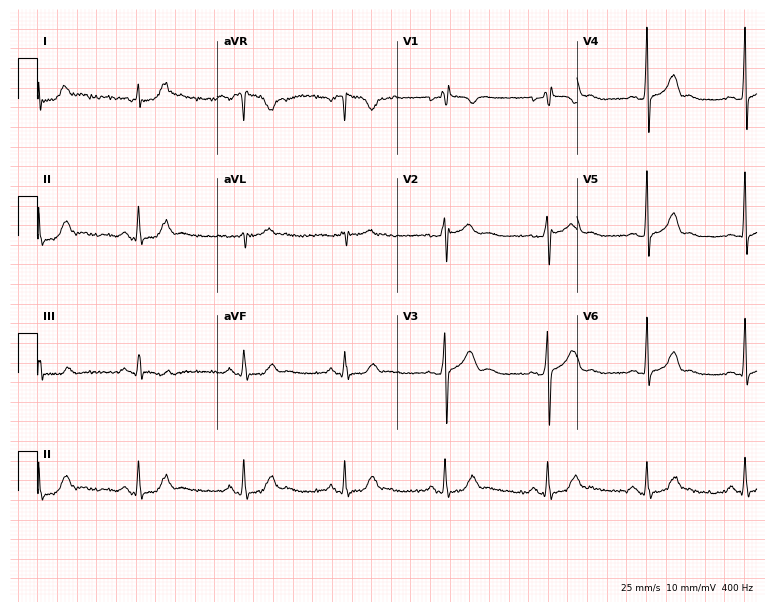
Electrocardiogram (7.3-second recording at 400 Hz), a 37-year-old man. Of the six screened findings (first-degree AV block, right bundle branch block, left bundle branch block, sinus bradycardia, atrial fibrillation, sinus tachycardia), none is recorded.